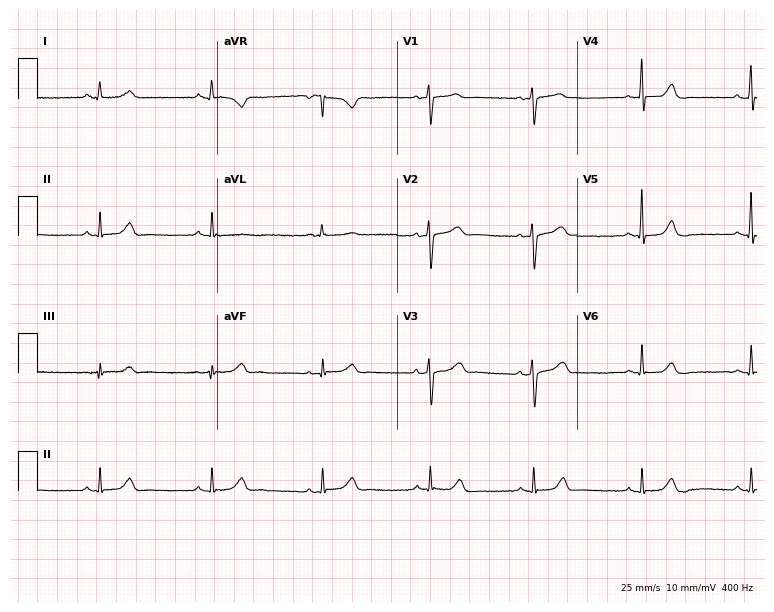
Standard 12-lead ECG recorded from a 52-year-old female (7.3-second recording at 400 Hz). Read as a normal ECG.